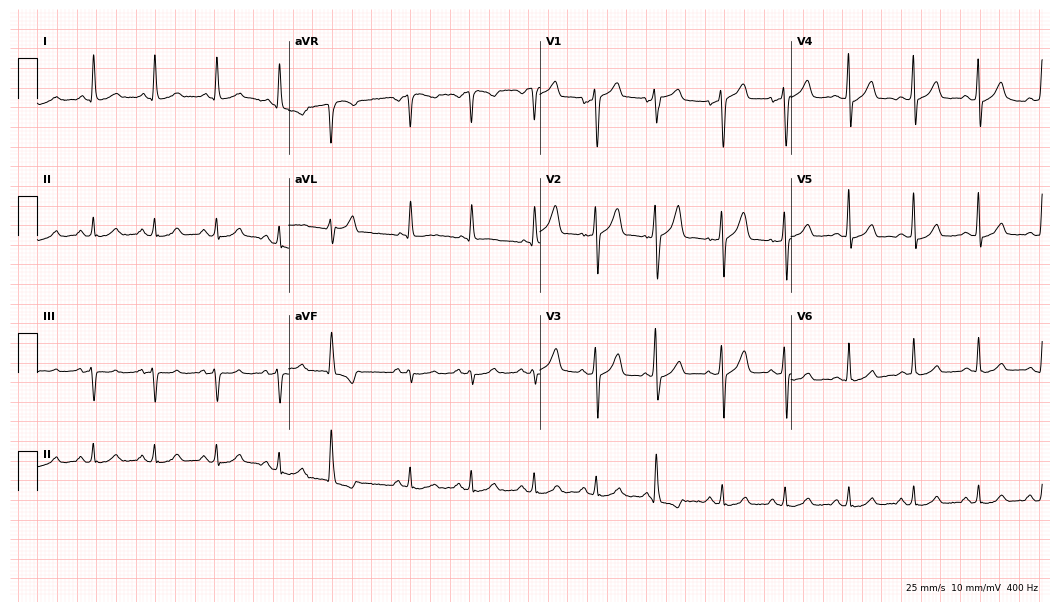
Electrocardiogram (10.2-second recording at 400 Hz), a 51-year-old man. Of the six screened findings (first-degree AV block, right bundle branch block, left bundle branch block, sinus bradycardia, atrial fibrillation, sinus tachycardia), none is recorded.